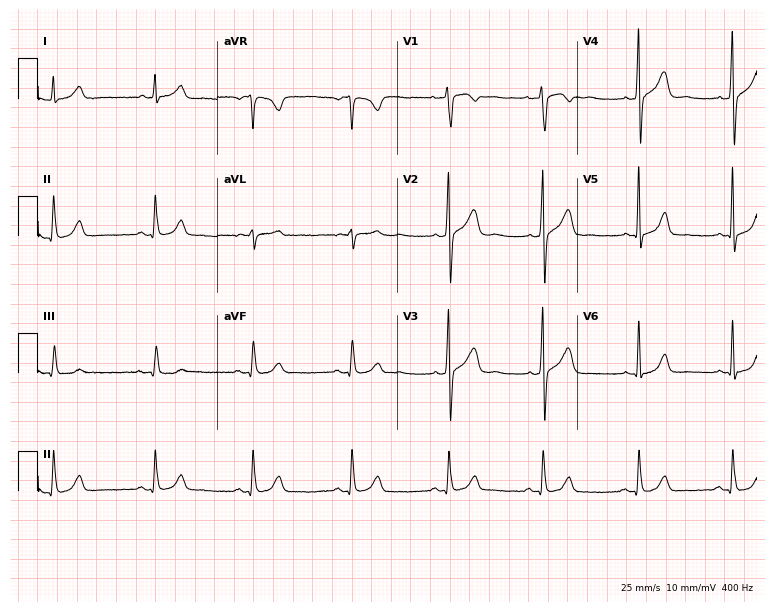
Standard 12-lead ECG recorded from a 32-year-old male patient (7.3-second recording at 400 Hz). Read as a normal ECG.